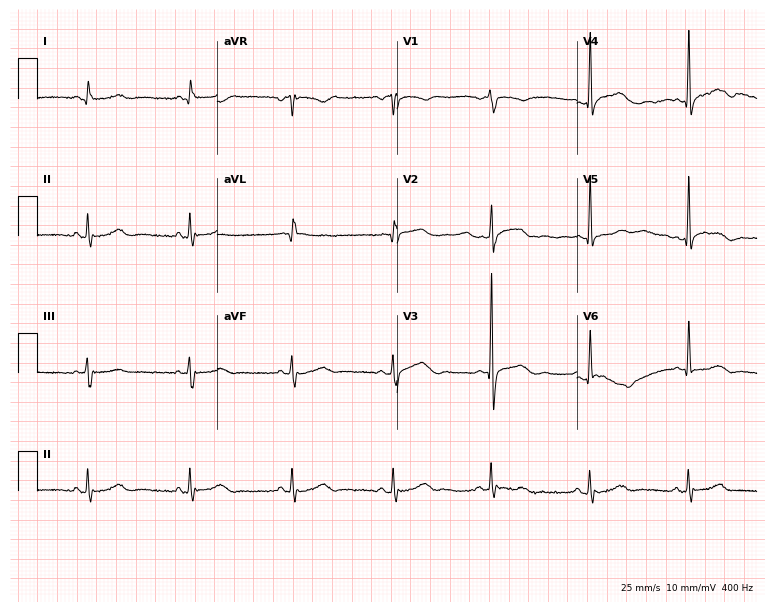
12-lead ECG from a male, 79 years old. No first-degree AV block, right bundle branch block, left bundle branch block, sinus bradycardia, atrial fibrillation or sinus tachycardia recorded for this tracing. Other findings, if any, are not listed.